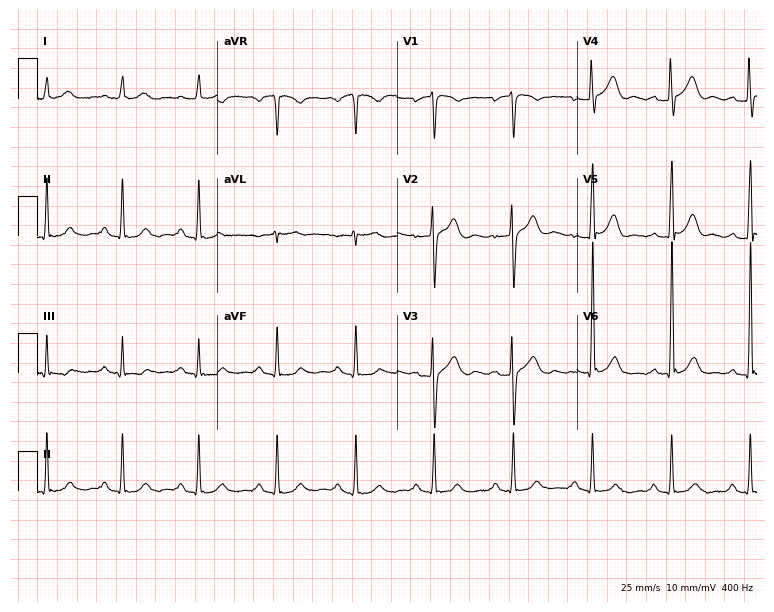
Standard 12-lead ECG recorded from a 51-year-old man (7.3-second recording at 400 Hz). None of these six findings is recorded: first-degree AV block, right bundle branch block (RBBB), left bundle branch block (LBBB), sinus bradycardia, atrial fibrillation (AF), sinus tachycardia. Findings outside these six are not listed.